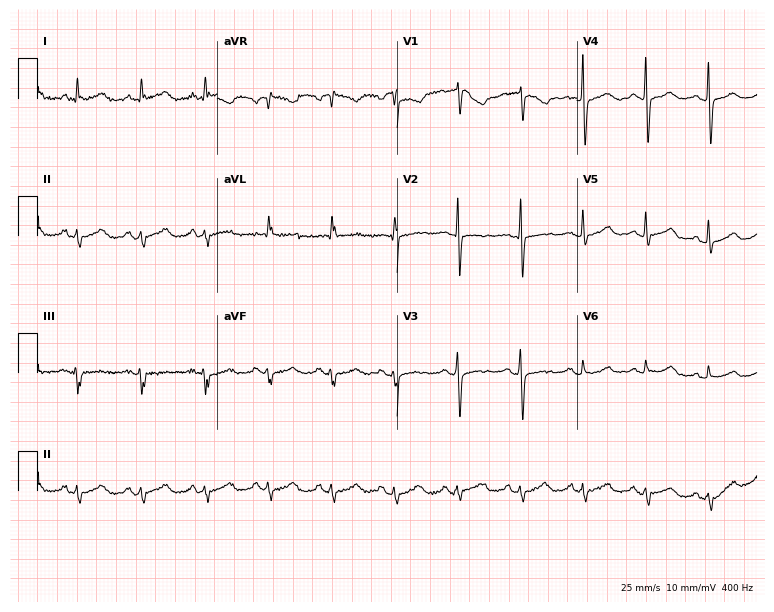
ECG — a woman, 75 years old. Screened for six findings — first-degree AV block, right bundle branch block (RBBB), left bundle branch block (LBBB), sinus bradycardia, atrial fibrillation (AF), sinus tachycardia — none is recorded. Other findings, if any, are not listed.